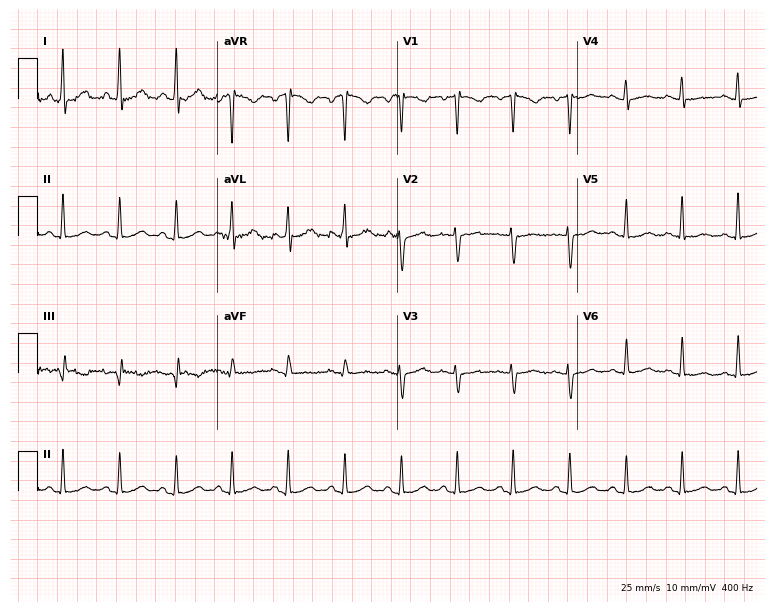
12-lead ECG (7.3-second recording at 400 Hz) from a 28-year-old woman. Findings include sinus tachycardia (a sinus rate of 100 beats per minute or more).